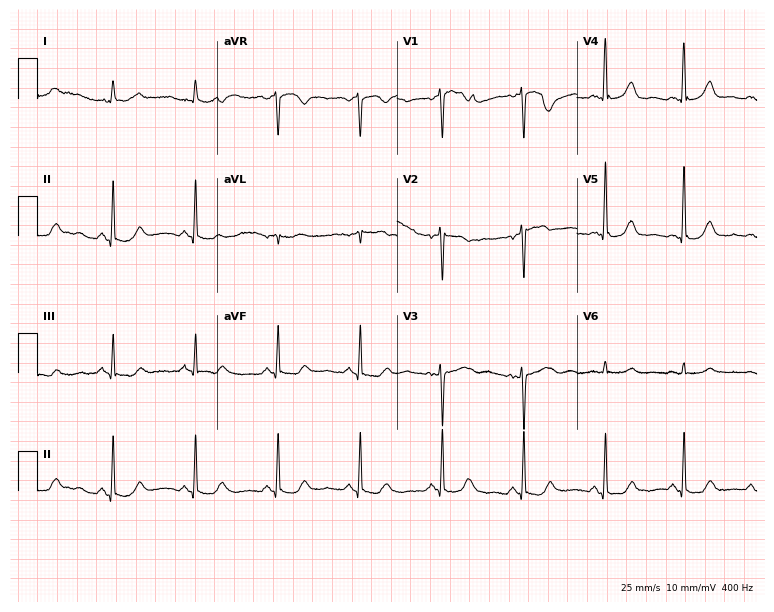
Electrocardiogram, a 66-year-old female patient. Overall reading on record: normal ECG.